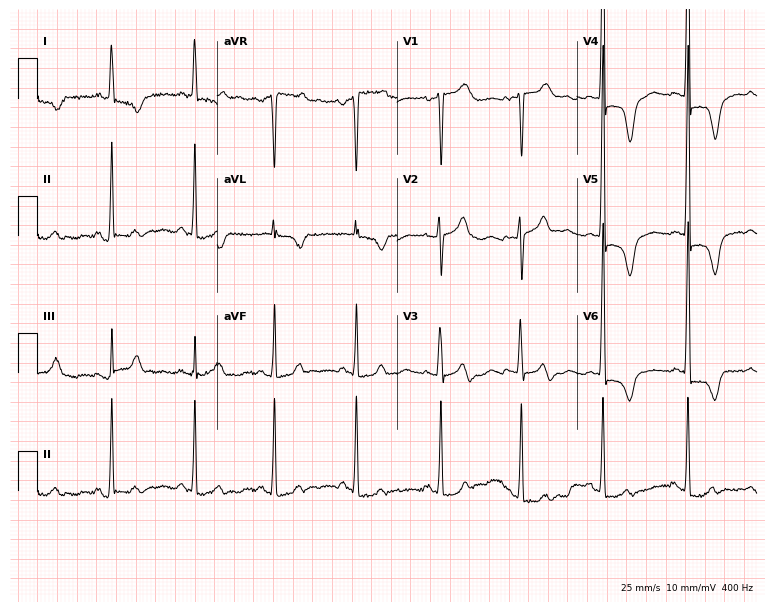
Resting 12-lead electrocardiogram (7.3-second recording at 400 Hz). Patient: a female, 83 years old. None of these six findings is recorded: first-degree AV block, right bundle branch block (RBBB), left bundle branch block (LBBB), sinus bradycardia, atrial fibrillation (AF), sinus tachycardia. Other findings, if any, are not listed.